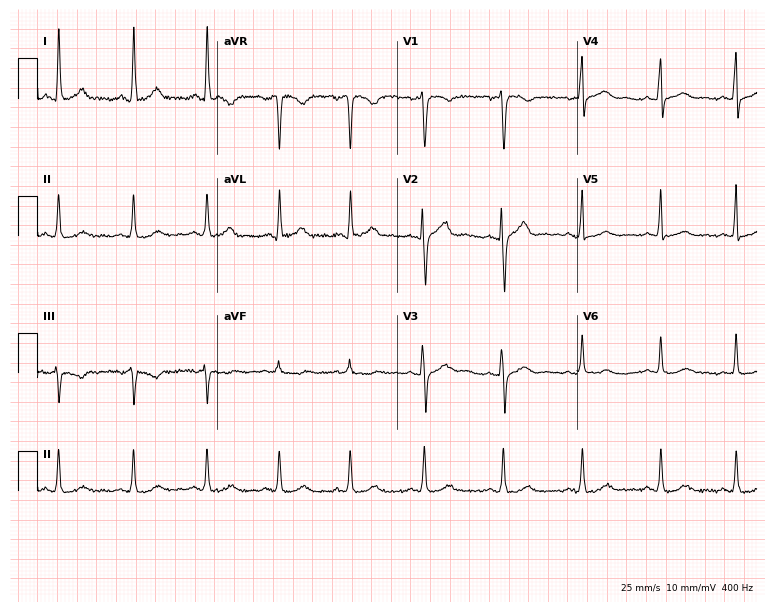
Resting 12-lead electrocardiogram (7.3-second recording at 400 Hz). Patient: a 44-year-old female. Read as a normal ECG.